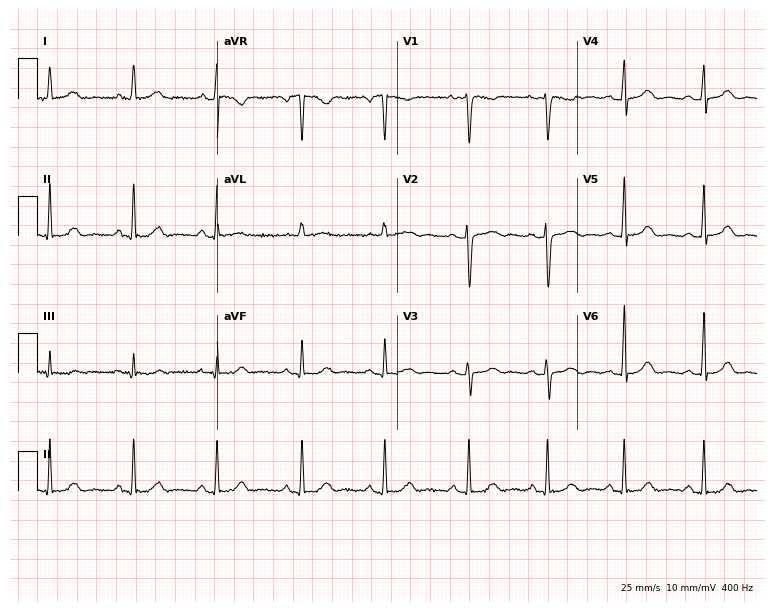
12-lead ECG from a 36-year-old female patient. Recorded interpretation: within normal limits.